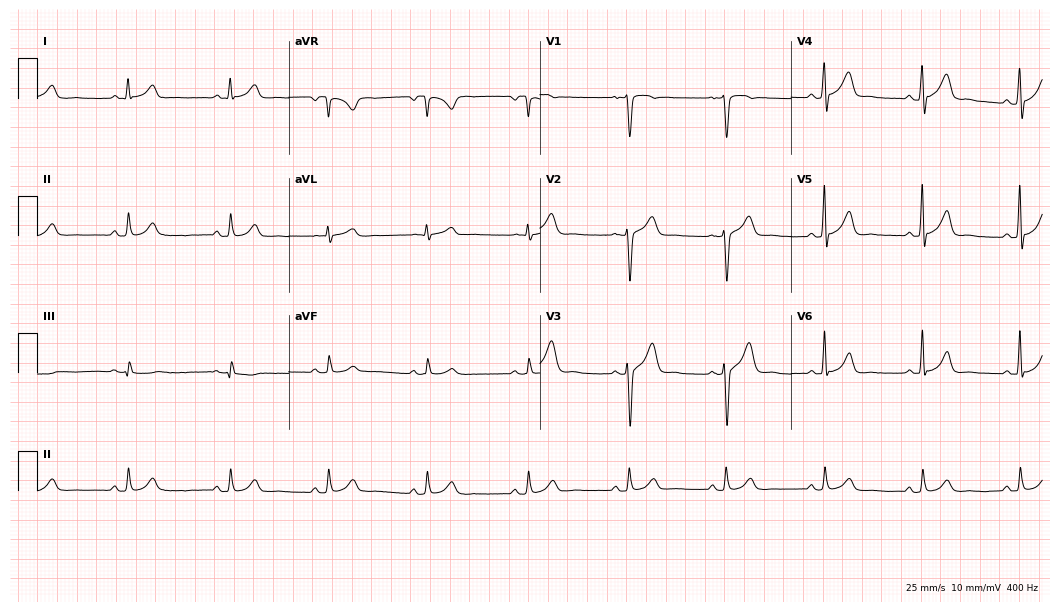
12-lead ECG from a 46-year-old man. Recorded interpretation: within normal limits.